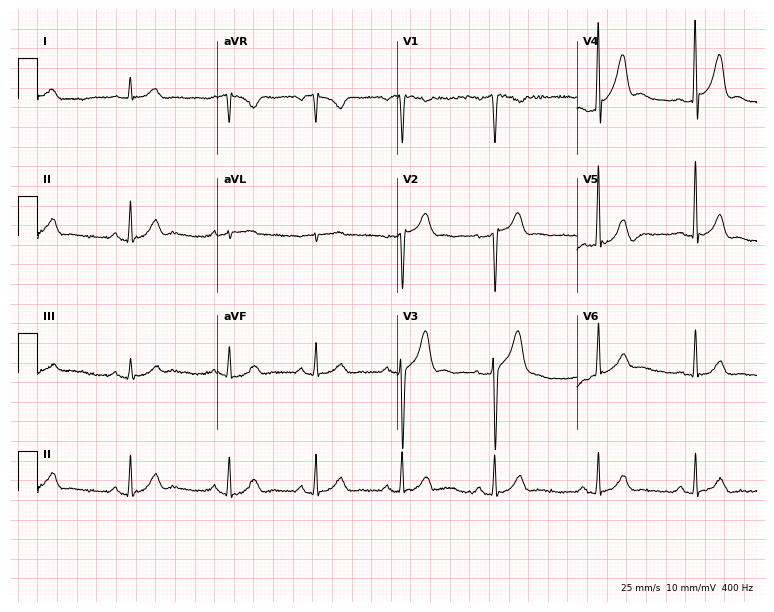
Resting 12-lead electrocardiogram (7.3-second recording at 400 Hz). Patient: a man, 37 years old. None of these six findings is recorded: first-degree AV block, right bundle branch block, left bundle branch block, sinus bradycardia, atrial fibrillation, sinus tachycardia.